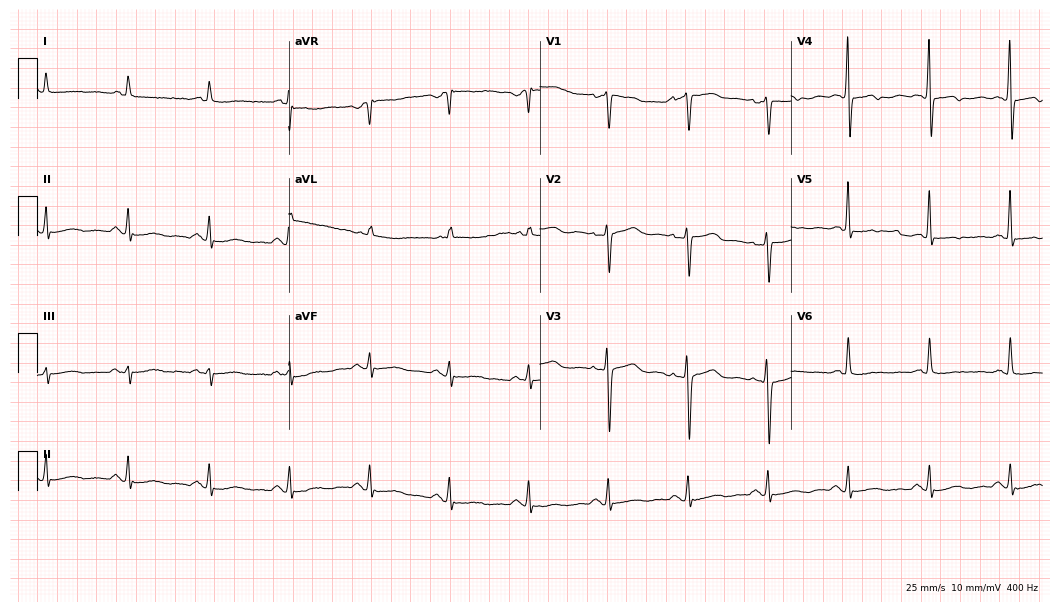
12-lead ECG (10.2-second recording at 400 Hz) from a 63-year-old female patient. Screened for six findings — first-degree AV block, right bundle branch block (RBBB), left bundle branch block (LBBB), sinus bradycardia, atrial fibrillation (AF), sinus tachycardia — none is recorded. Findings outside these six are not listed.